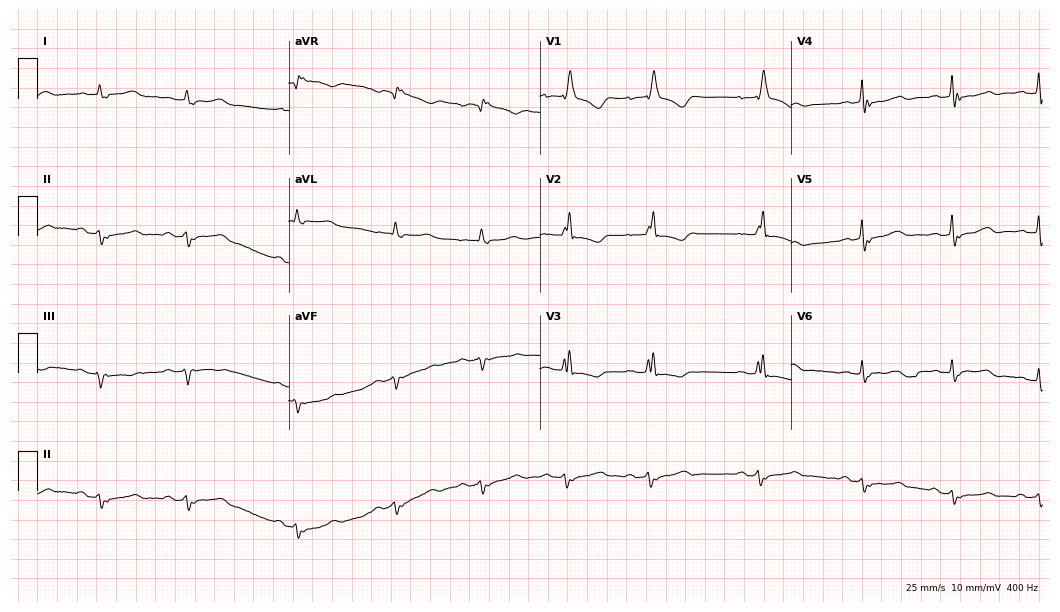
Resting 12-lead electrocardiogram (10.2-second recording at 400 Hz). Patient: a female, 65 years old. The tracing shows right bundle branch block, atrial fibrillation.